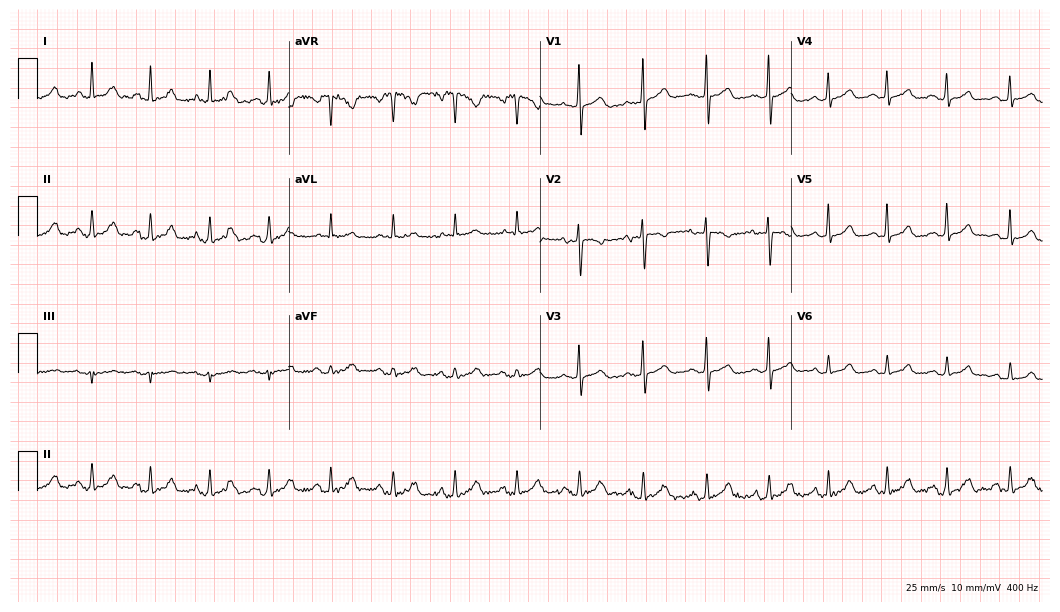
ECG (10.2-second recording at 400 Hz) — a female, 37 years old. Screened for six findings — first-degree AV block, right bundle branch block (RBBB), left bundle branch block (LBBB), sinus bradycardia, atrial fibrillation (AF), sinus tachycardia — none is recorded.